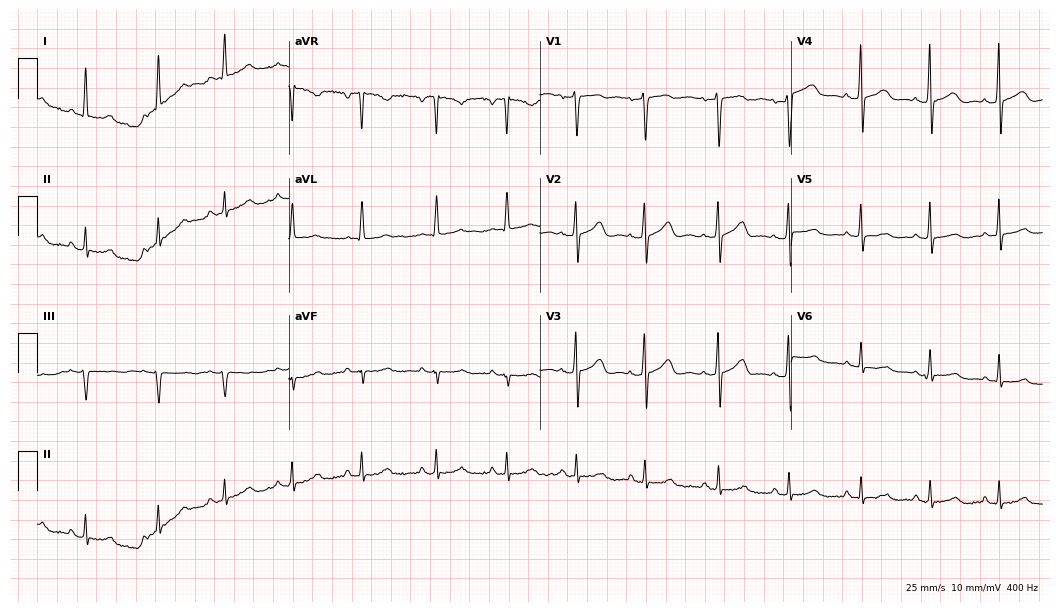
12-lead ECG from a female patient, 52 years old (10.2-second recording at 400 Hz). Recorded interpretation: within normal limits.